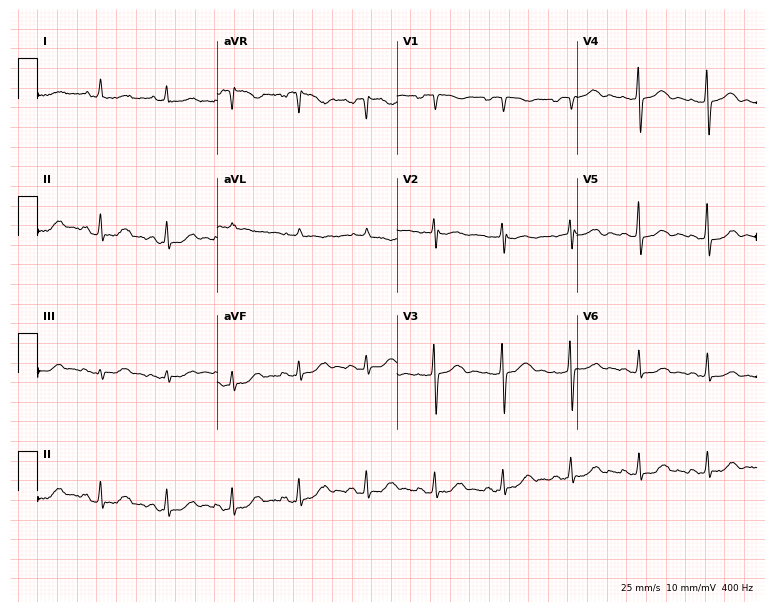
Resting 12-lead electrocardiogram. Patient: a woman, 70 years old. None of these six findings is recorded: first-degree AV block, right bundle branch block, left bundle branch block, sinus bradycardia, atrial fibrillation, sinus tachycardia.